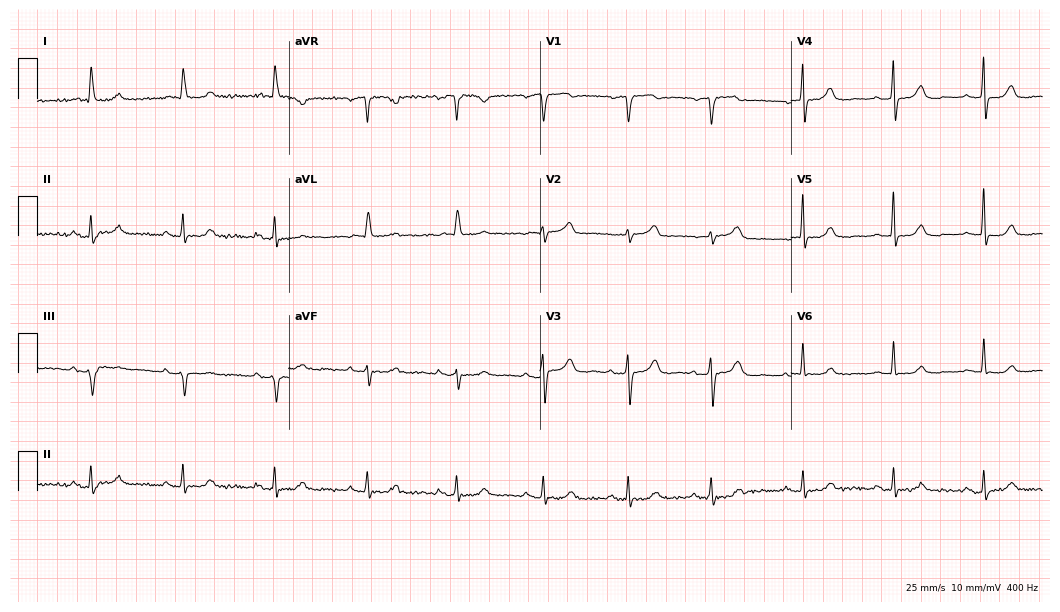
Standard 12-lead ECG recorded from a female patient, 81 years old (10.2-second recording at 400 Hz). Read as a normal ECG.